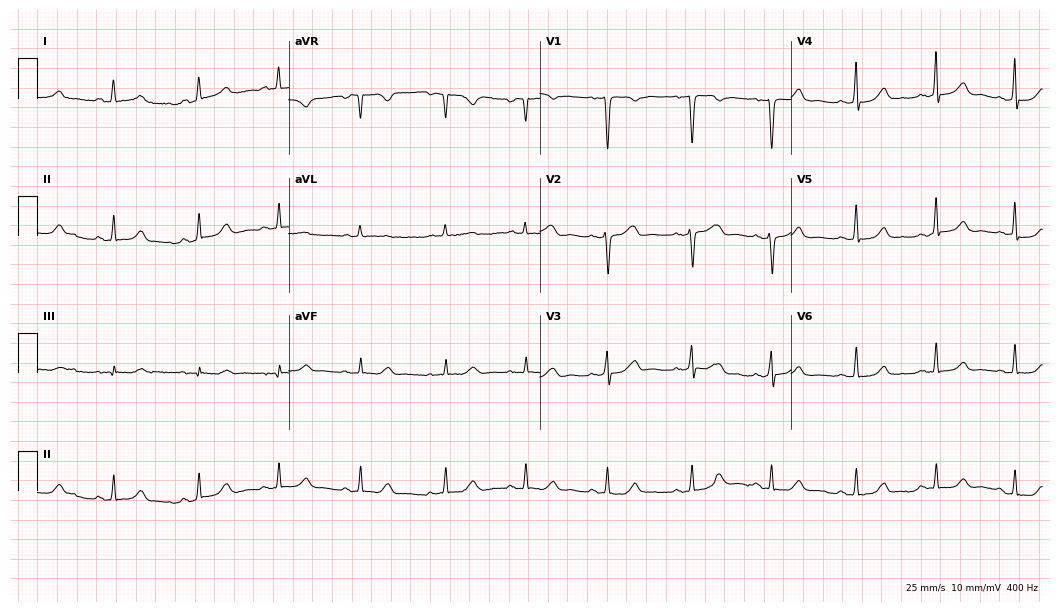
Electrocardiogram, a 41-year-old female patient. Overall reading on record: normal ECG.